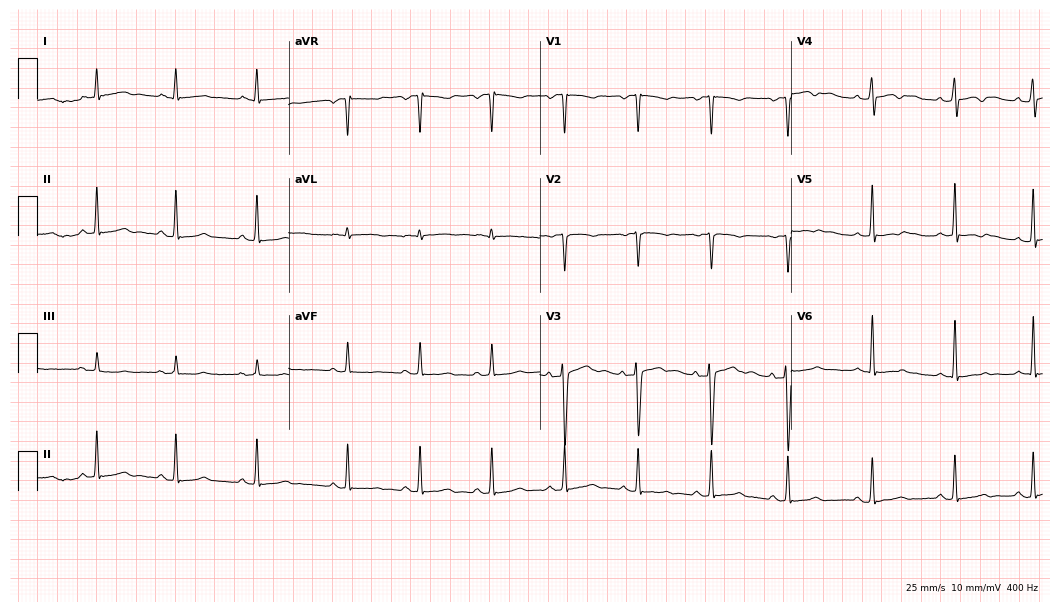
Standard 12-lead ECG recorded from a 25-year-old woman. None of these six findings is recorded: first-degree AV block, right bundle branch block, left bundle branch block, sinus bradycardia, atrial fibrillation, sinus tachycardia. Only these six findings were labelled.